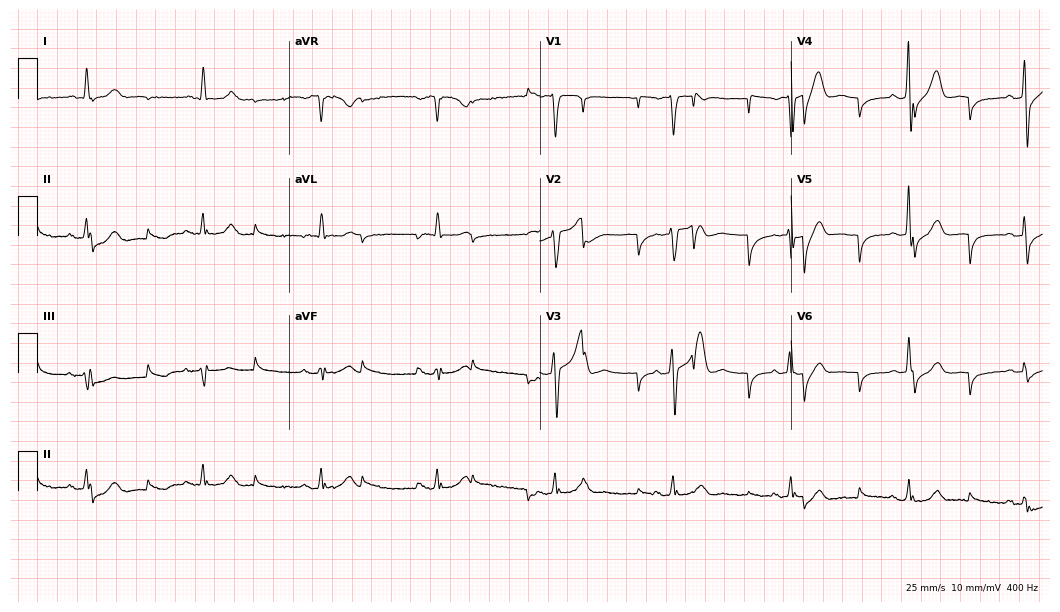
ECG (10.2-second recording at 400 Hz) — an 83-year-old male patient. Screened for six findings — first-degree AV block, right bundle branch block (RBBB), left bundle branch block (LBBB), sinus bradycardia, atrial fibrillation (AF), sinus tachycardia — none is recorded.